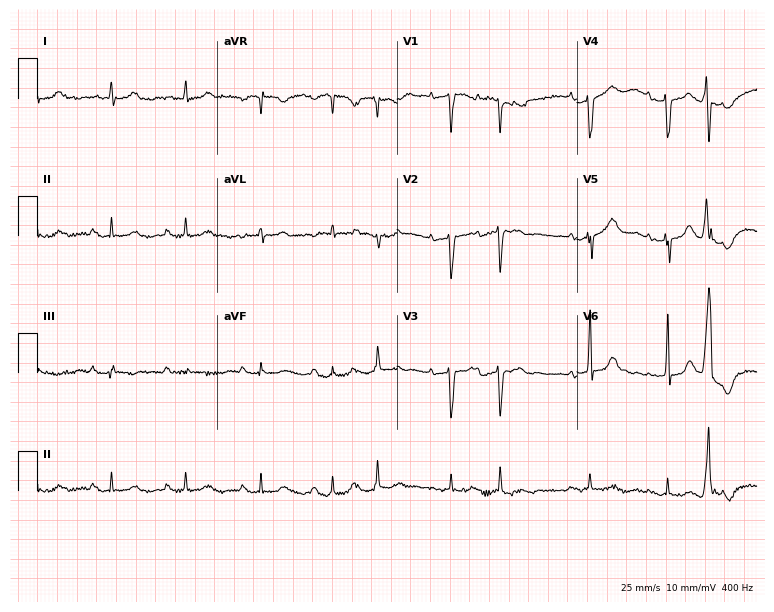
ECG (7.3-second recording at 400 Hz) — an 80-year-old female. Screened for six findings — first-degree AV block, right bundle branch block, left bundle branch block, sinus bradycardia, atrial fibrillation, sinus tachycardia — none is recorded.